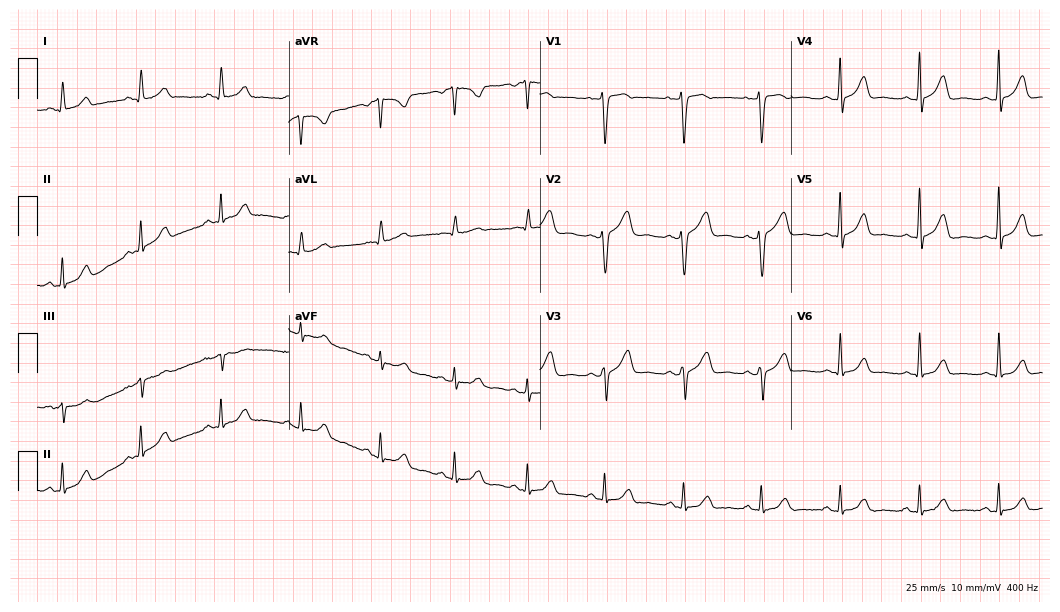
12-lead ECG from a 49-year-old female. Recorded interpretation: within normal limits.